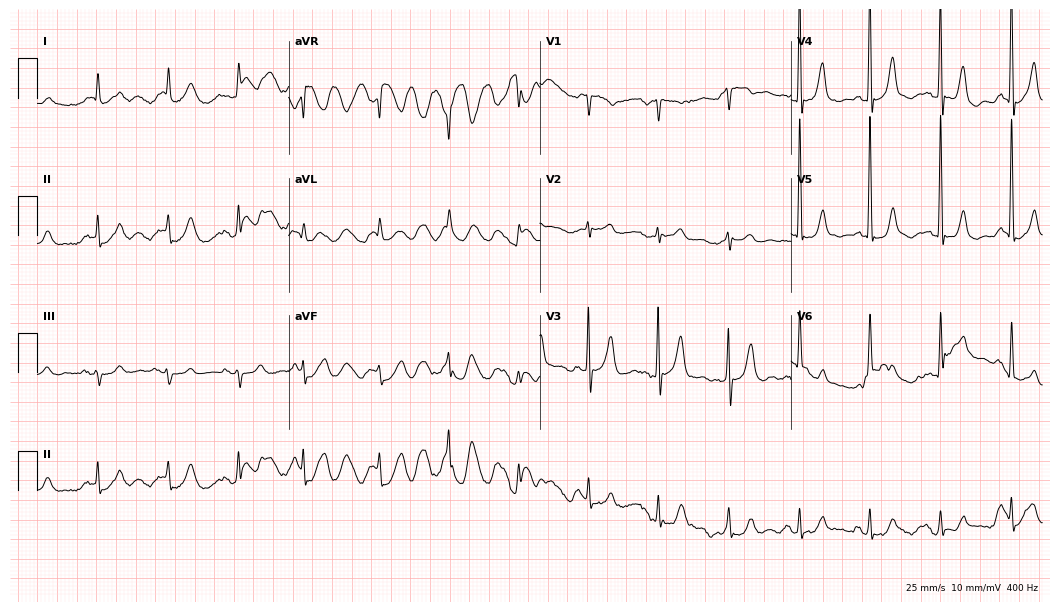
12-lead ECG (10.2-second recording at 400 Hz) from a 74-year-old man. Screened for six findings — first-degree AV block, right bundle branch block, left bundle branch block, sinus bradycardia, atrial fibrillation, sinus tachycardia — none is recorded.